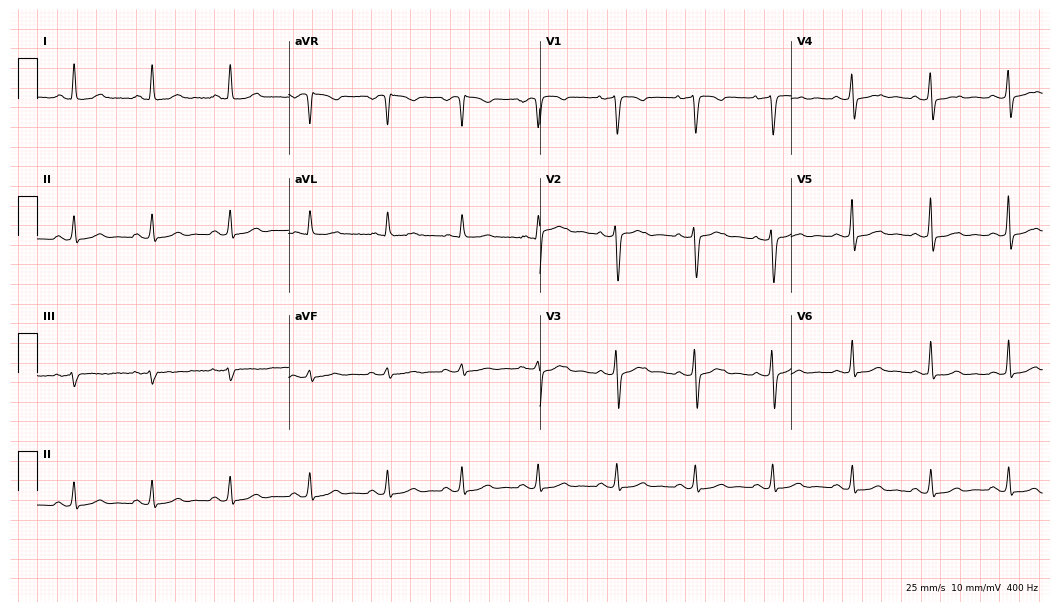
12-lead ECG (10.2-second recording at 400 Hz) from a female patient, 35 years old. Screened for six findings — first-degree AV block, right bundle branch block, left bundle branch block, sinus bradycardia, atrial fibrillation, sinus tachycardia — none is recorded. Only these six findings were labelled.